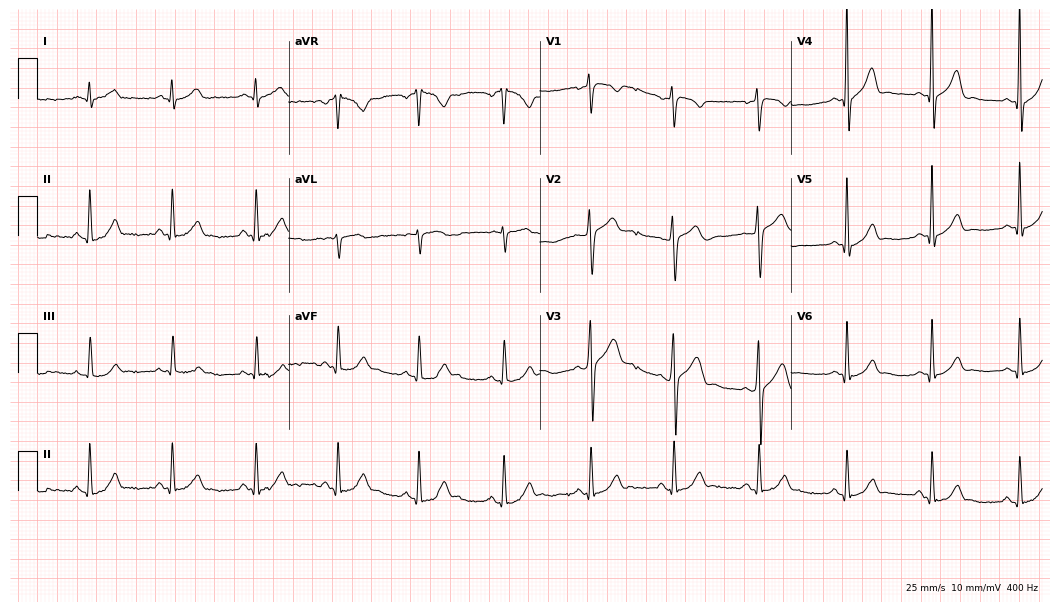
12-lead ECG from a 30-year-old male patient (10.2-second recording at 400 Hz). No first-degree AV block, right bundle branch block (RBBB), left bundle branch block (LBBB), sinus bradycardia, atrial fibrillation (AF) or sinus tachycardia recorded for this tracing.